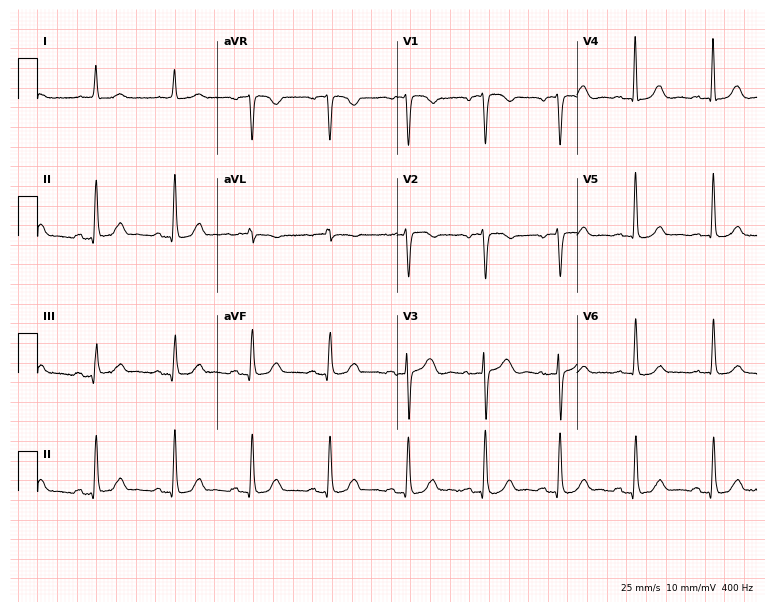
ECG — an 81-year-old female. Screened for six findings — first-degree AV block, right bundle branch block, left bundle branch block, sinus bradycardia, atrial fibrillation, sinus tachycardia — none is recorded.